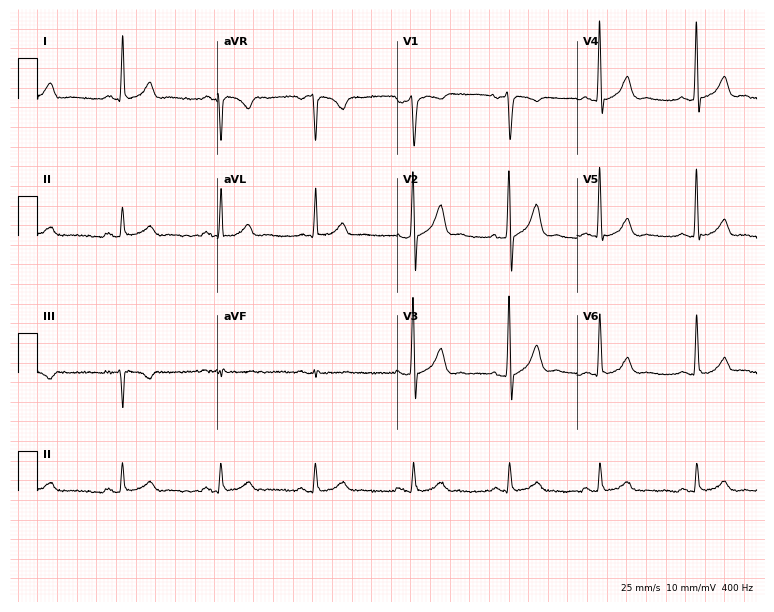
12-lead ECG from a male patient, 45 years old. No first-degree AV block, right bundle branch block, left bundle branch block, sinus bradycardia, atrial fibrillation or sinus tachycardia recorded for this tracing.